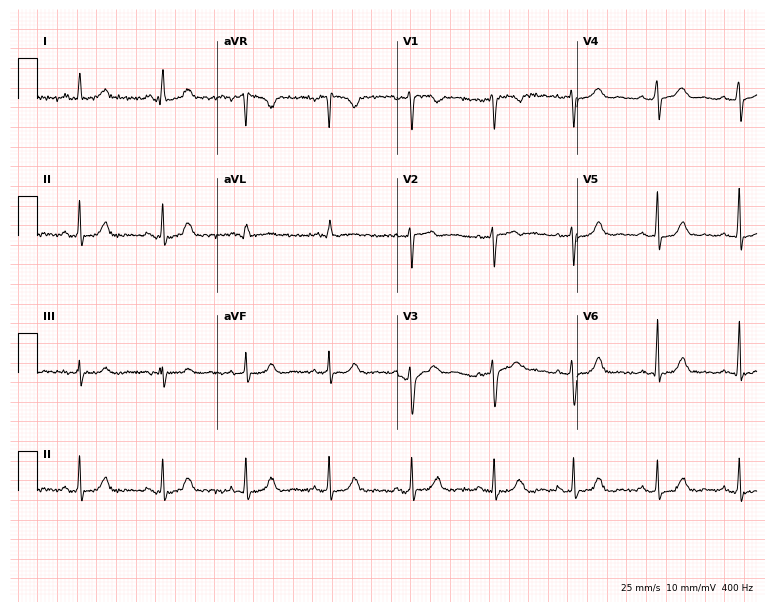
12-lead ECG from a woman, 36 years old. Labelled as a normal ECG.